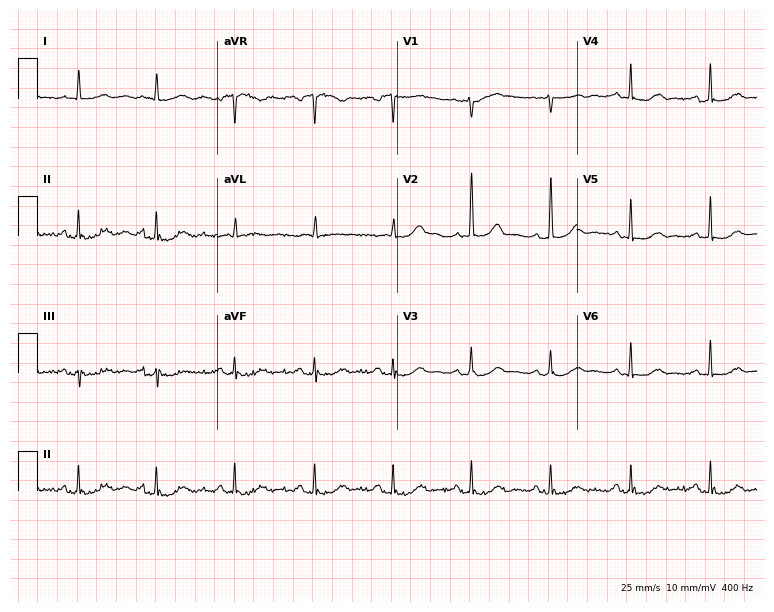
Standard 12-lead ECG recorded from a male, 75 years old (7.3-second recording at 400 Hz). Read as a normal ECG.